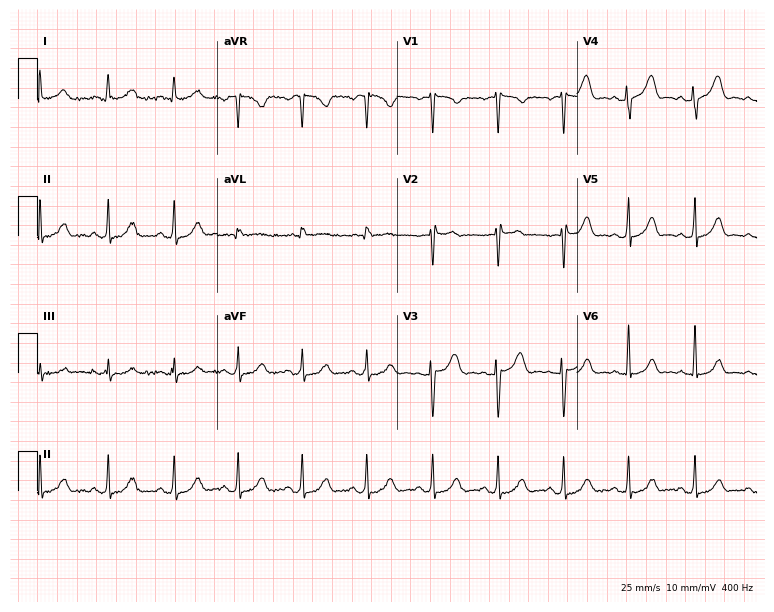
ECG — a female, 43 years old. Screened for six findings — first-degree AV block, right bundle branch block, left bundle branch block, sinus bradycardia, atrial fibrillation, sinus tachycardia — none is recorded. Only these six findings were labelled.